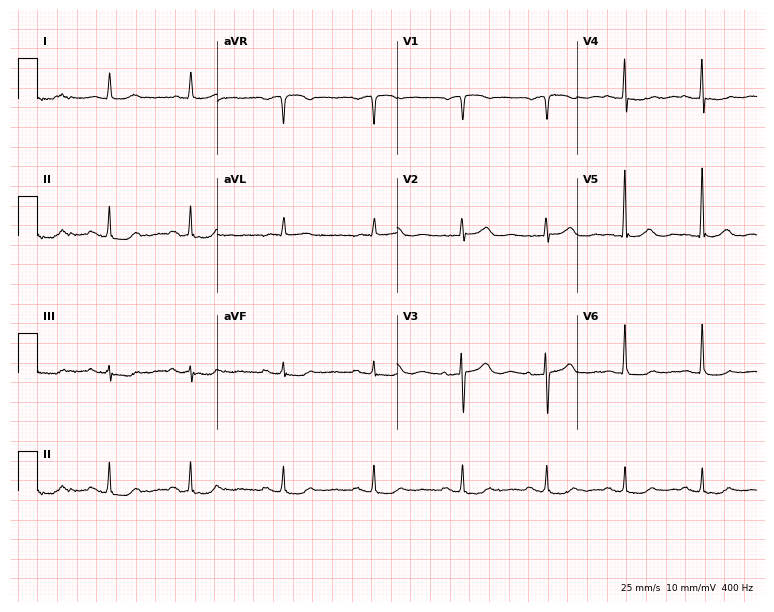
Resting 12-lead electrocardiogram (7.3-second recording at 400 Hz). Patient: an 85-year-old woman. None of these six findings is recorded: first-degree AV block, right bundle branch block, left bundle branch block, sinus bradycardia, atrial fibrillation, sinus tachycardia. Only these six findings were labelled.